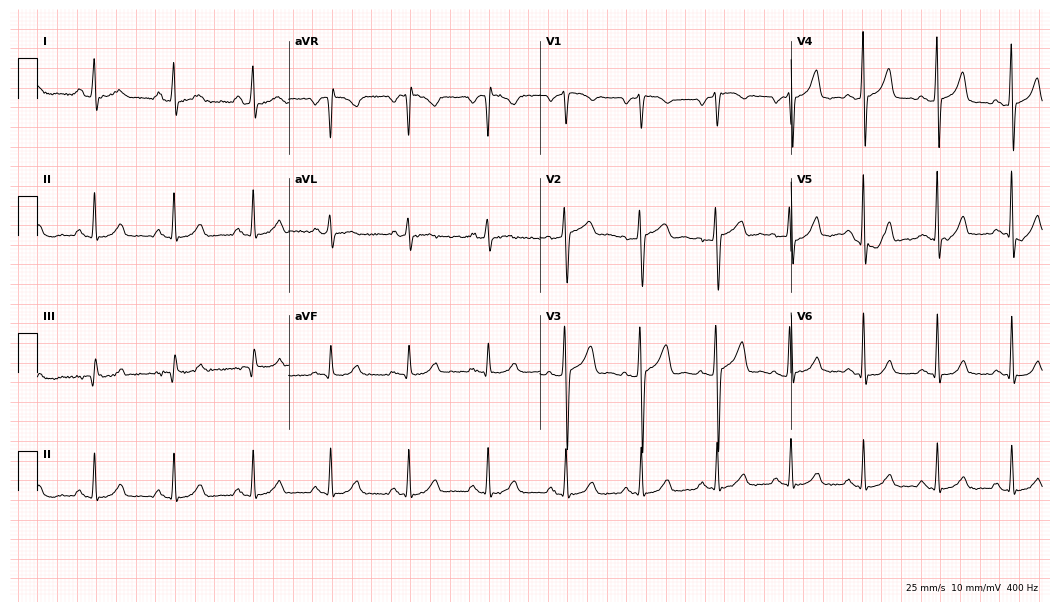
ECG — a female patient, 37 years old. Labelled as a normal ECG.